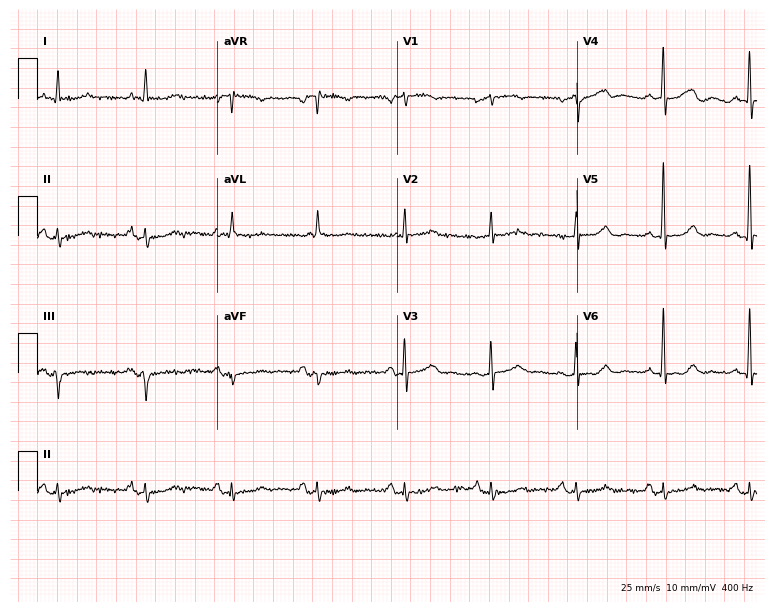
12-lead ECG from a 76-year-old woman (7.3-second recording at 400 Hz). No first-degree AV block, right bundle branch block (RBBB), left bundle branch block (LBBB), sinus bradycardia, atrial fibrillation (AF) or sinus tachycardia recorded for this tracing.